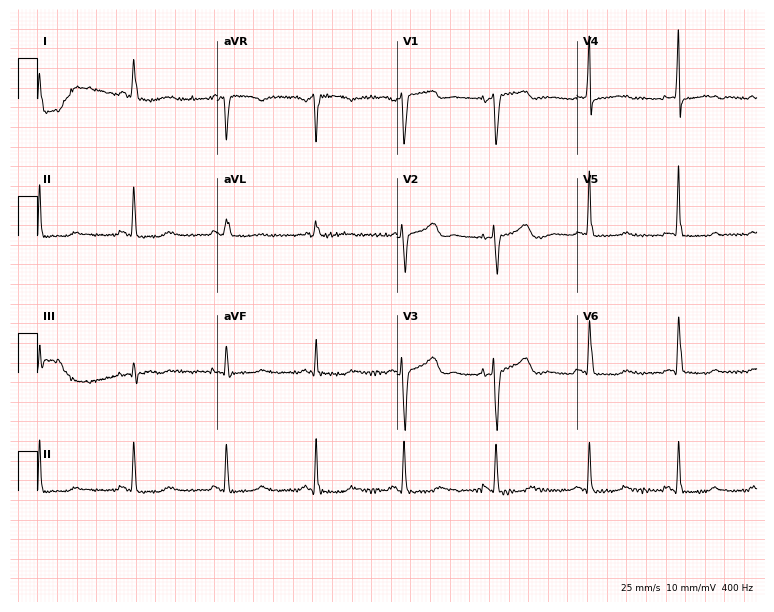
12-lead ECG from a 69-year-old woman. Screened for six findings — first-degree AV block, right bundle branch block (RBBB), left bundle branch block (LBBB), sinus bradycardia, atrial fibrillation (AF), sinus tachycardia — none is recorded. Only these six findings were labelled.